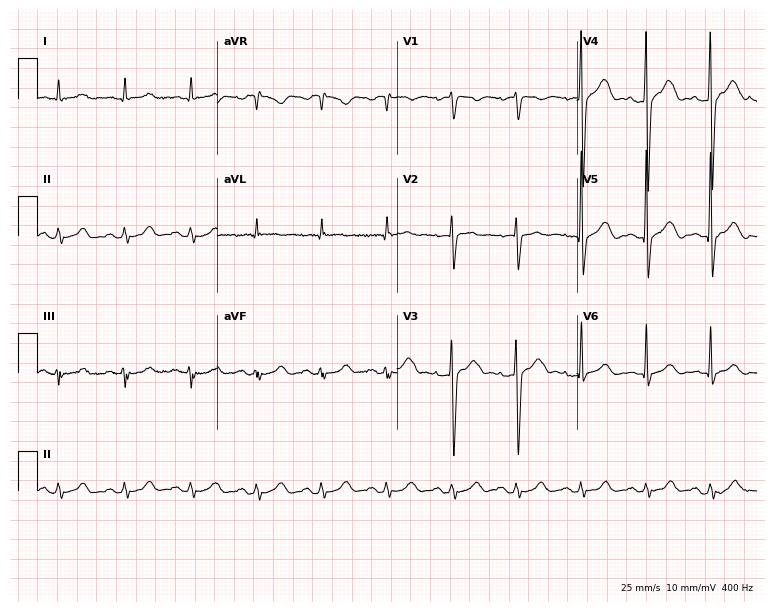
Standard 12-lead ECG recorded from a 71-year-old male patient. Read as a normal ECG.